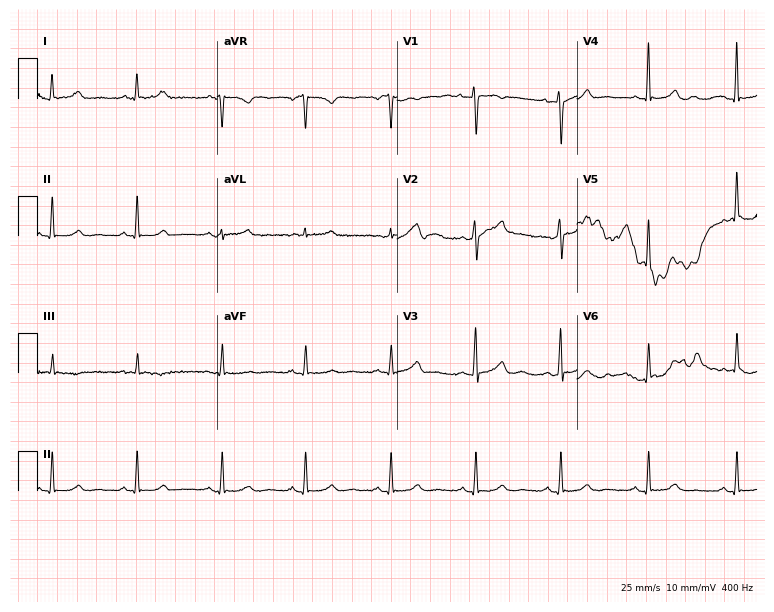
Electrocardiogram, a female, 37 years old. Overall reading on record: normal ECG.